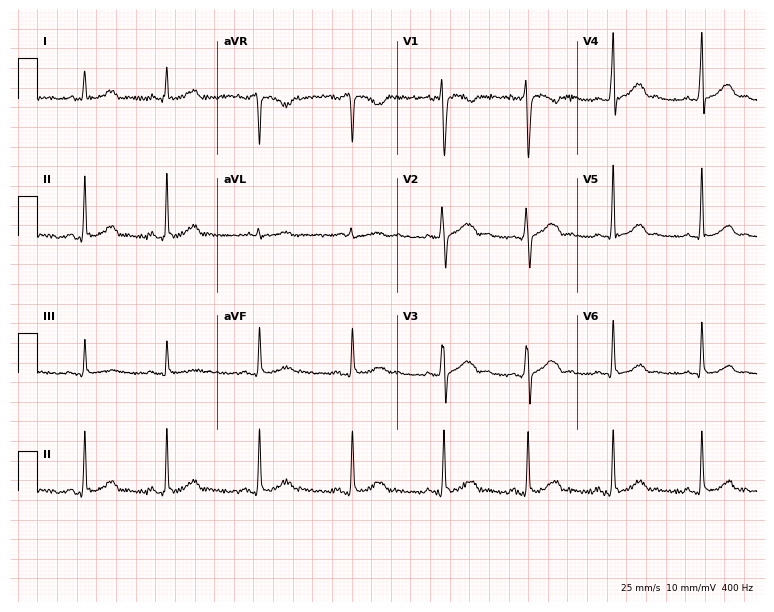
12-lead ECG from a 30-year-old woman. Recorded interpretation: within normal limits.